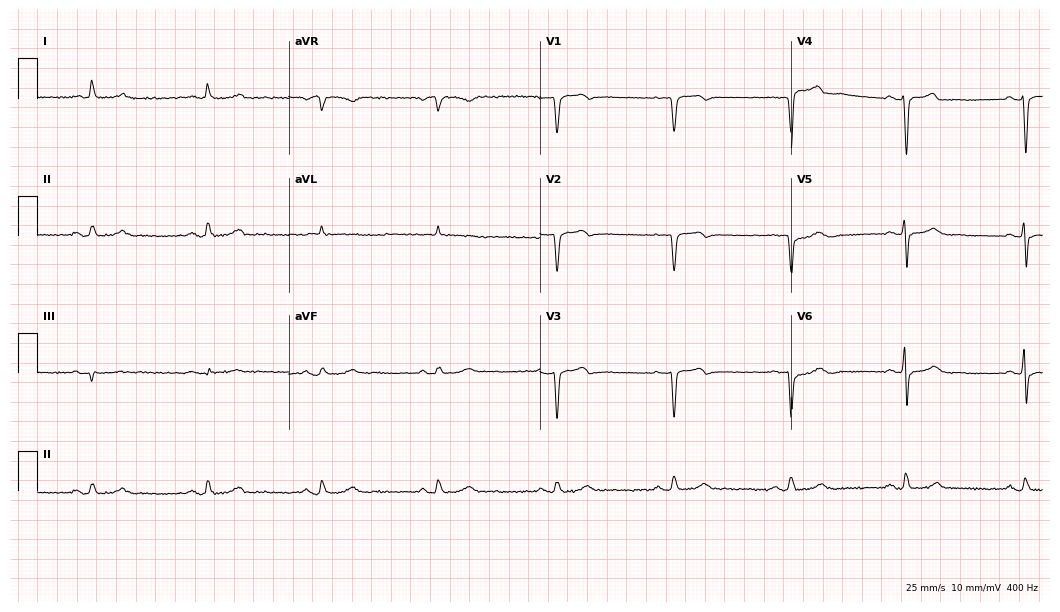
Resting 12-lead electrocardiogram. Patient: a 45-year-old male. None of these six findings is recorded: first-degree AV block, right bundle branch block (RBBB), left bundle branch block (LBBB), sinus bradycardia, atrial fibrillation (AF), sinus tachycardia. Other findings, if any, are not listed.